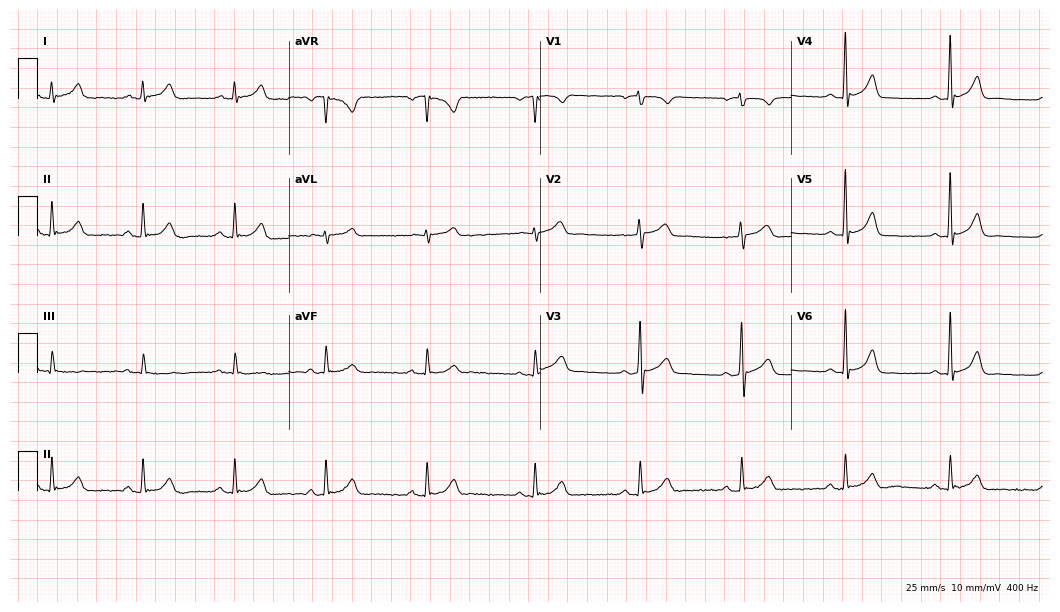
12-lead ECG from a male patient, 59 years old. Recorded interpretation: within normal limits.